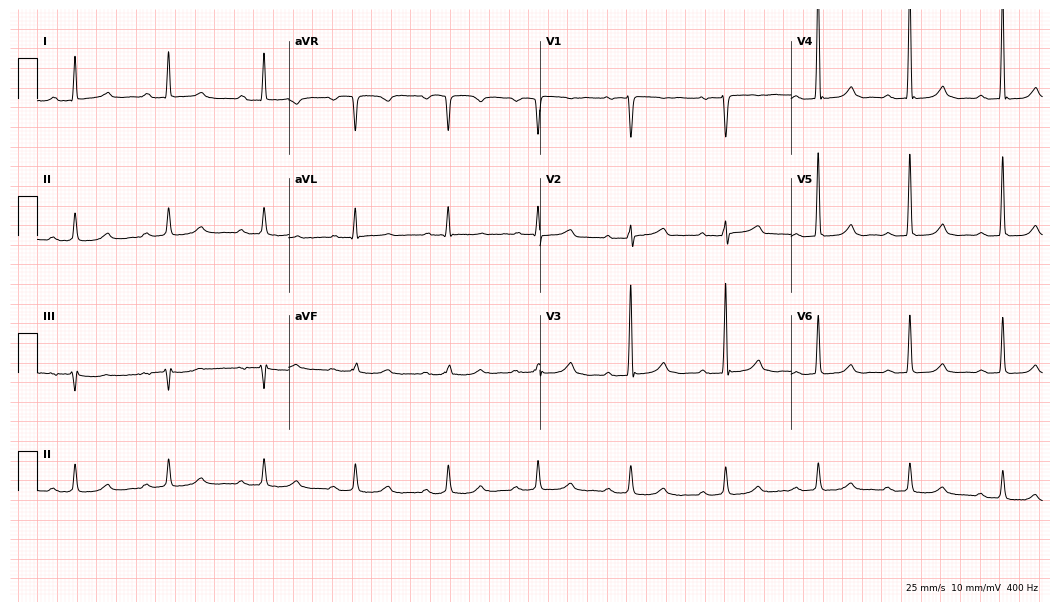
12-lead ECG (10.2-second recording at 400 Hz) from a 55-year-old woman. Findings include first-degree AV block.